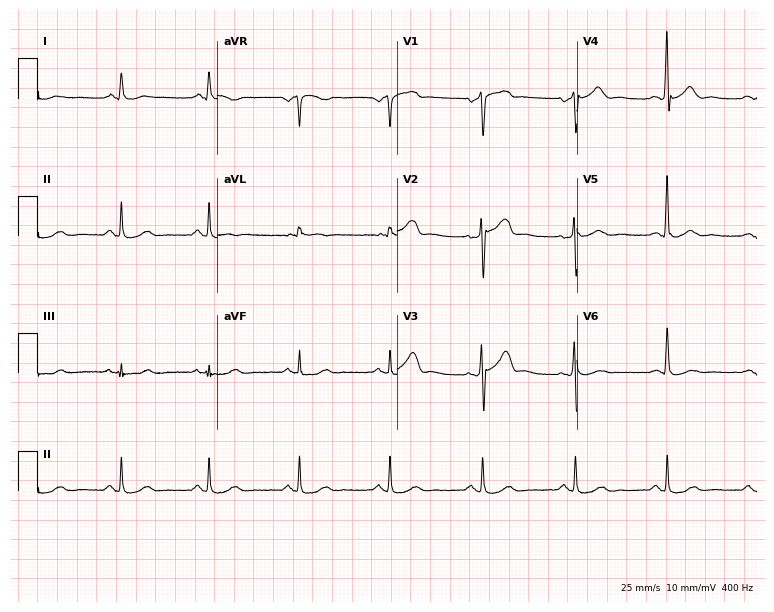
12-lead ECG (7.3-second recording at 400 Hz) from a man, 64 years old. Screened for six findings — first-degree AV block, right bundle branch block (RBBB), left bundle branch block (LBBB), sinus bradycardia, atrial fibrillation (AF), sinus tachycardia — none is recorded. Other findings, if any, are not listed.